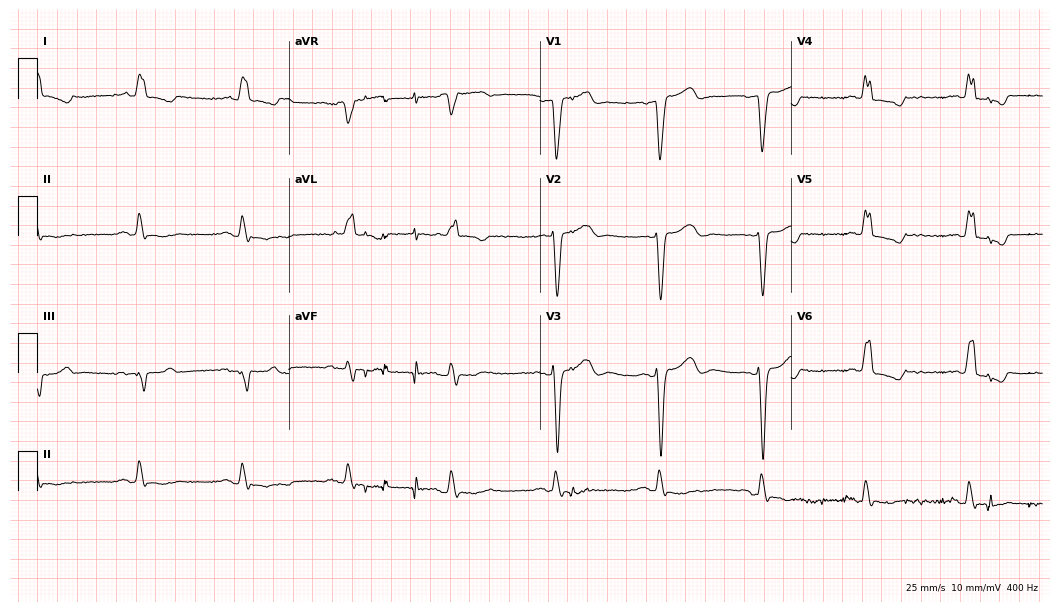
12-lead ECG from a man, 85 years old. Shows left bundle branch block.